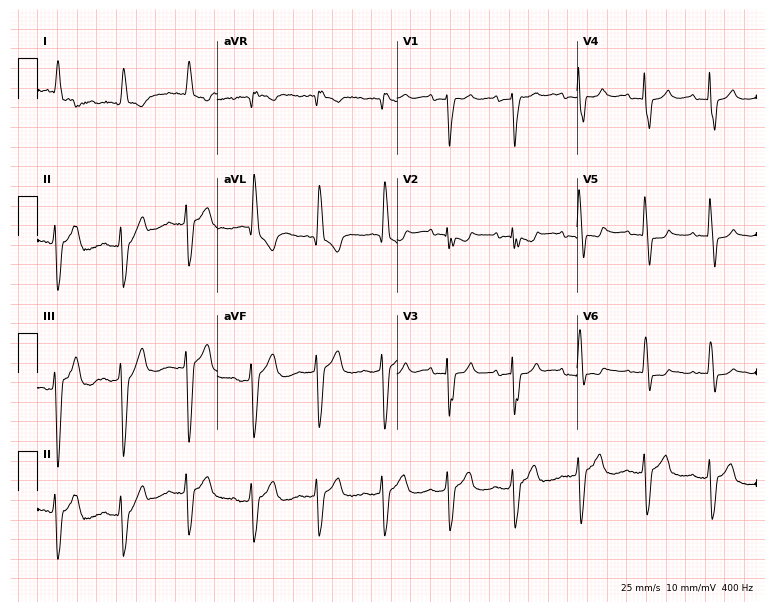
ECG — an 81-year-old female. Screened for six findings — first-degree AV block, right bundle branch block, left bundle branch block, sinus bradycardia, atrial fibrillation, sinus tachycardia — none is recorded. Other findings, if any, are not listed.